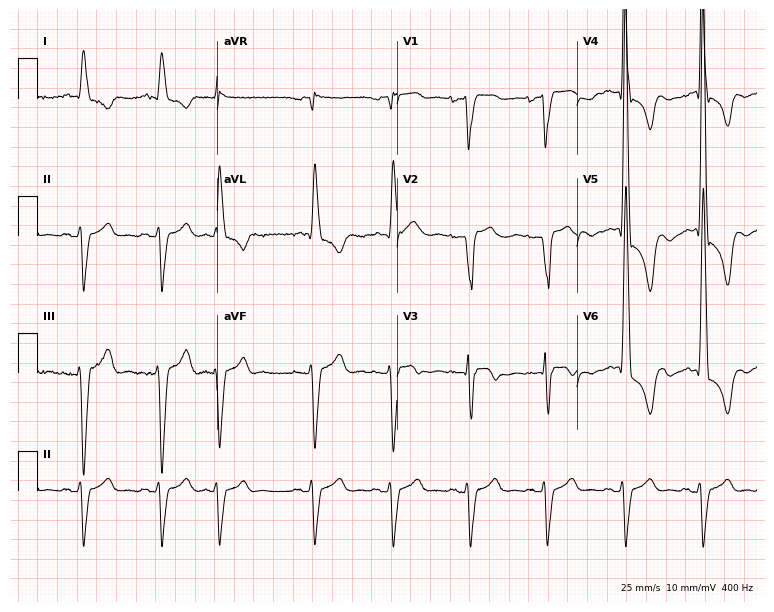
12-lead ECG from an 82-year-old man. No first-degree AV block, right bundle branch block, left bundle branch block, sinus bradycardia, atrial fibrillation or sinus tachycardia recorded for this tracing.